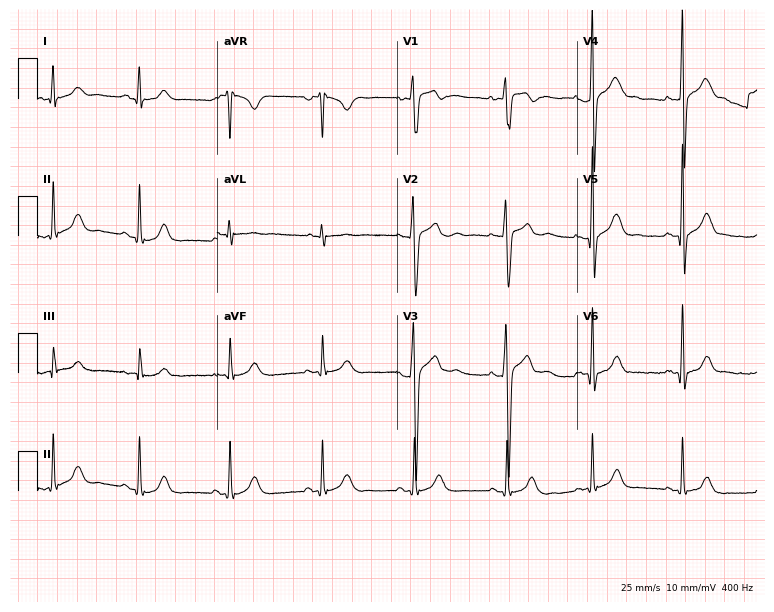
12-lead ECG from a 21-year-old man. No first-degree AV block, right bundle branch block, left bundle branch block, sinus bradycardia, atrial fibrillation or sinus tachycardia recorded for this tracing. Findings outside these six are not listed.